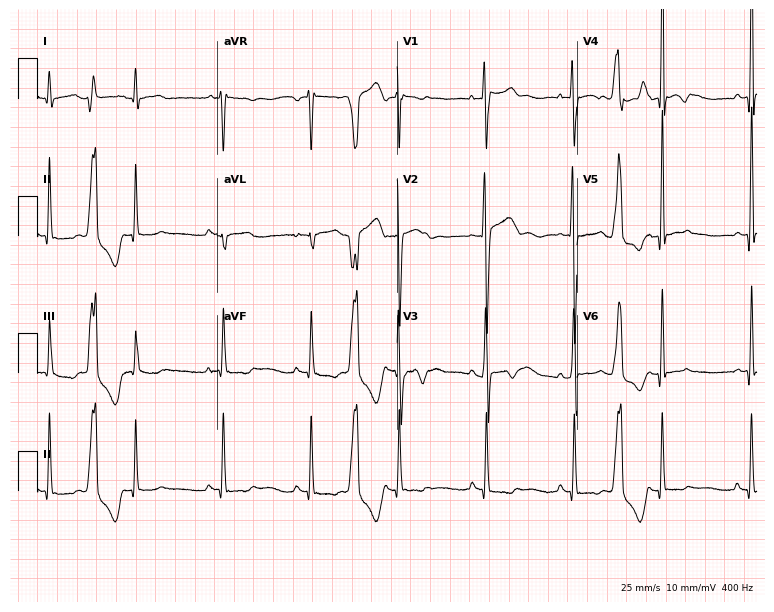
Electrocardiogram, a 29-year-old male. Of the six screened findings (first-degree AV block, right bundle branch block, left bundle branch block, sinus bradycardia, atrial fibrillation, sinus tachycardia), none is recorded.